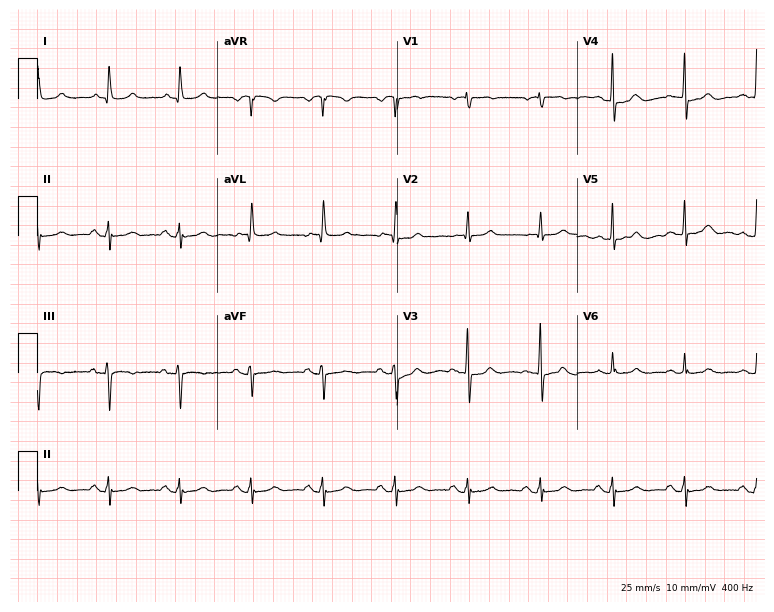
Resting 12-lead electrocardiogram (7.3-second recording at 400 Hz). Patient: a 73-year-old woman. Read as a normal ECG.